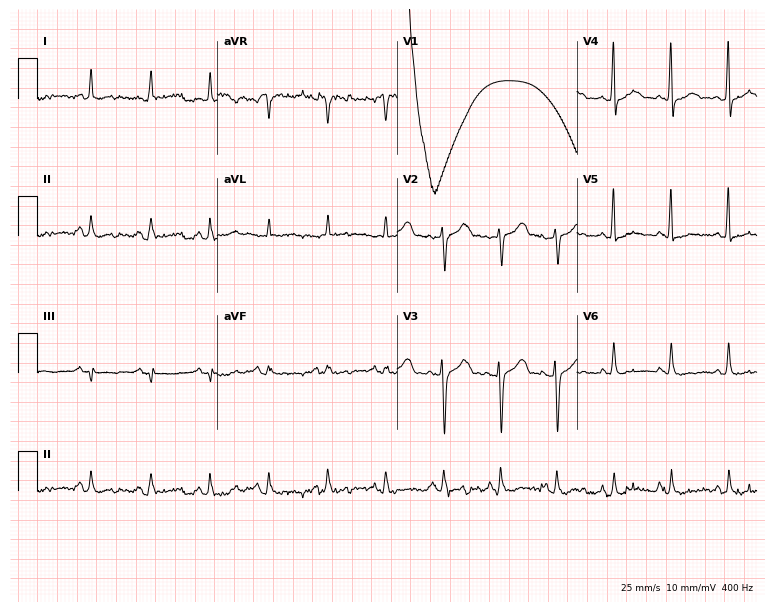
ECG (7.3-second recording at 400 Hz) — a man, 65 years old. Screened for six findings — first-degree AV block, right bundle branch block (RBBB), left bundle branch block (LBBB), sinus bradycardia, atrial fibrillation (AF), sinus tachycardia — none is recorded. Findings outside these six are not listed.